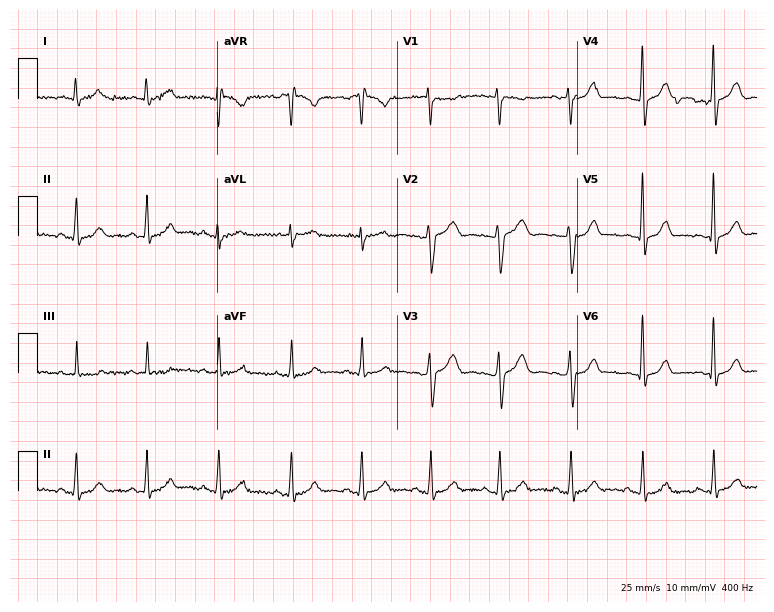
Electrocardiogram (7.3-second recording at 400 Hz), a female patient, 34 years old. Overall reading on record: normal ECG.